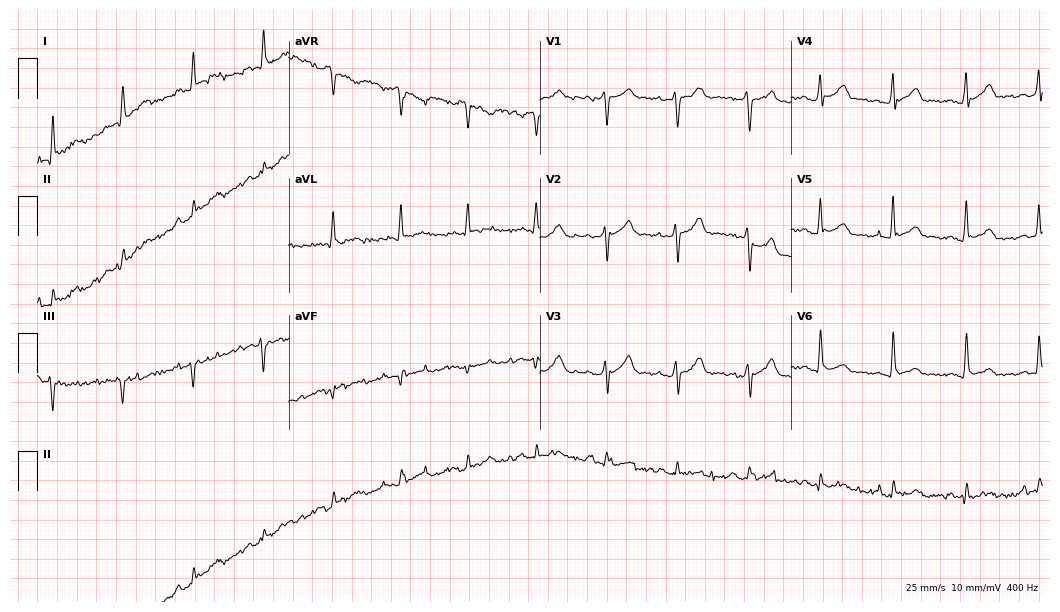
Resting 12-lead electrocardiogram (10.2-second recording at 400 Hz). Patient: a 58-year-old man. Read as a normal ECG.